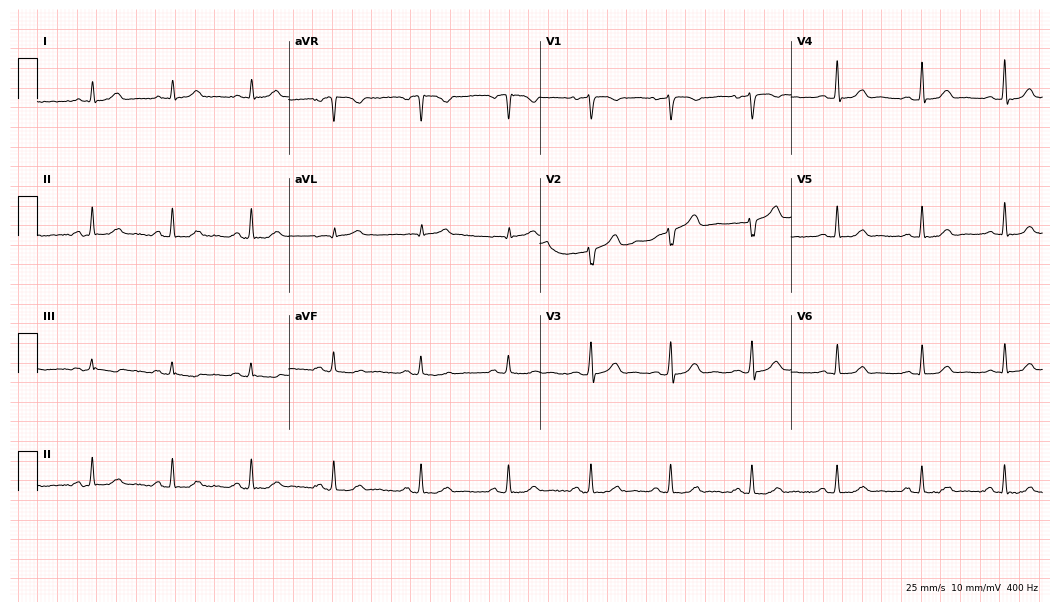
ECG — a 47-year-old woman. Labelled as a normal ECG.